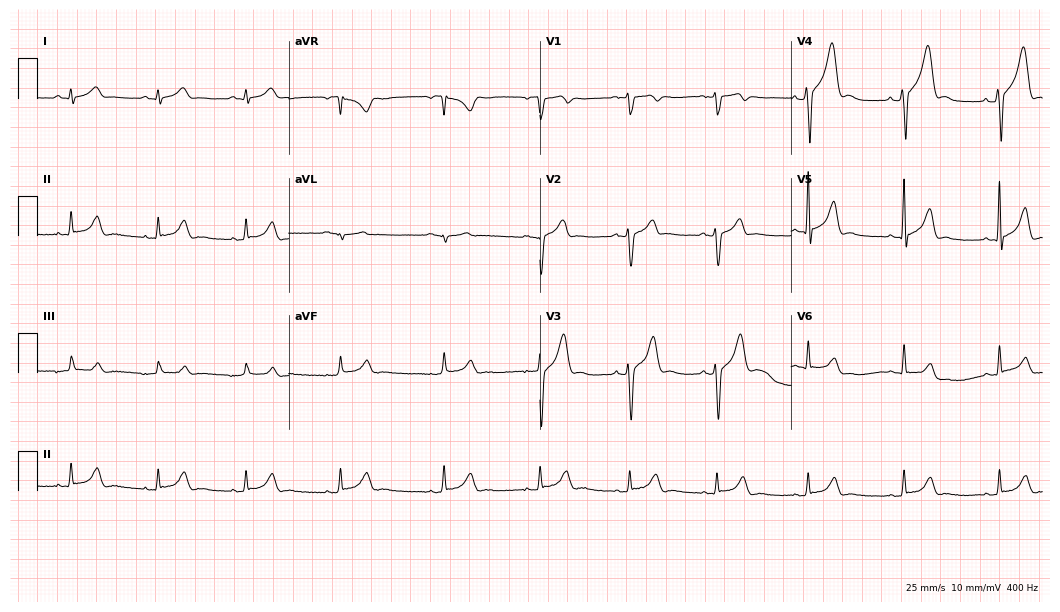
Electrocardiogram (10.2-second recording at 400 Hz), a 25-year-old male. Overall reading on record: normal ECG.